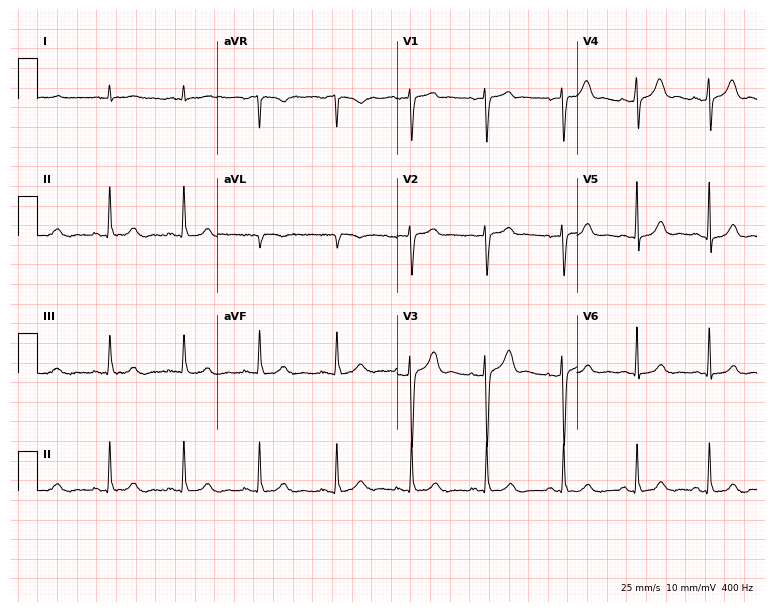
Electrocardiogram (7.3-second recording at 400 Hz), a female patient, 31 years old. Of the six screened findings (first-degree AV block, right bundle branch block, left bundle branch block, sinus bradycardia, atrial fibrillation, sinus tachycardia), none is recorded.